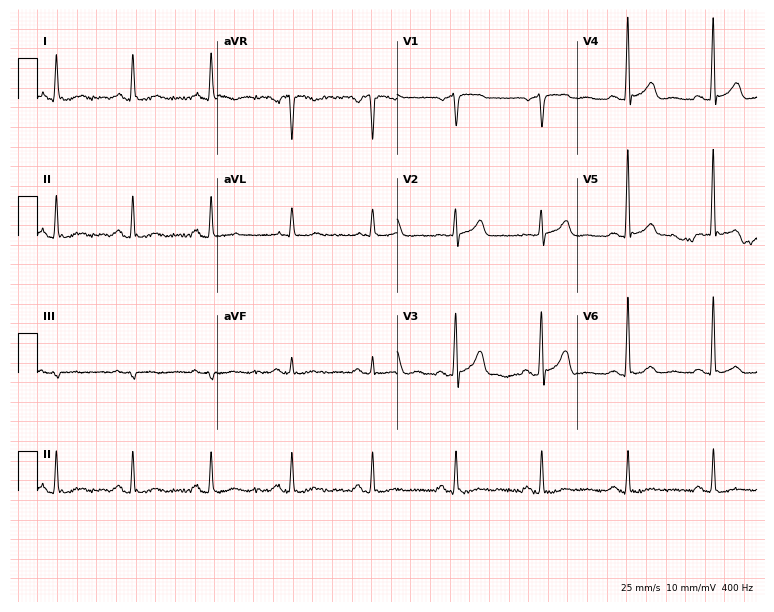
Electrocardiogram, a 66-year-old male. Of the six screened findings (first-degree AV block, right bundle branch block, left bundle branch block, sinus bradycardia, atrial fibrillation, sinus tachycardia), none is recorded. Findings outside these six are not listed.